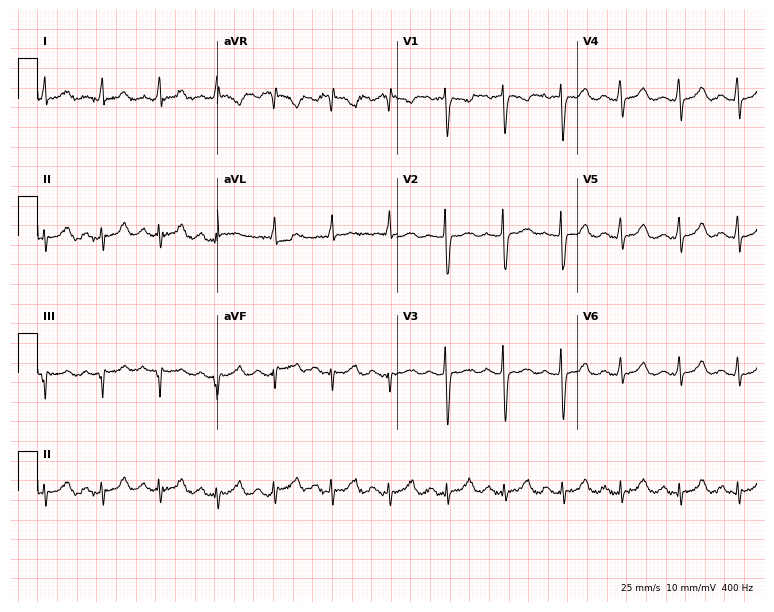
Resting 12-lead electrocardiogram (7.3-second recording at 400 Hz). Patient: a female, 67 years old. The tracing shows sinus tachycardia (a sinus rate of 100 beats per minute or more).